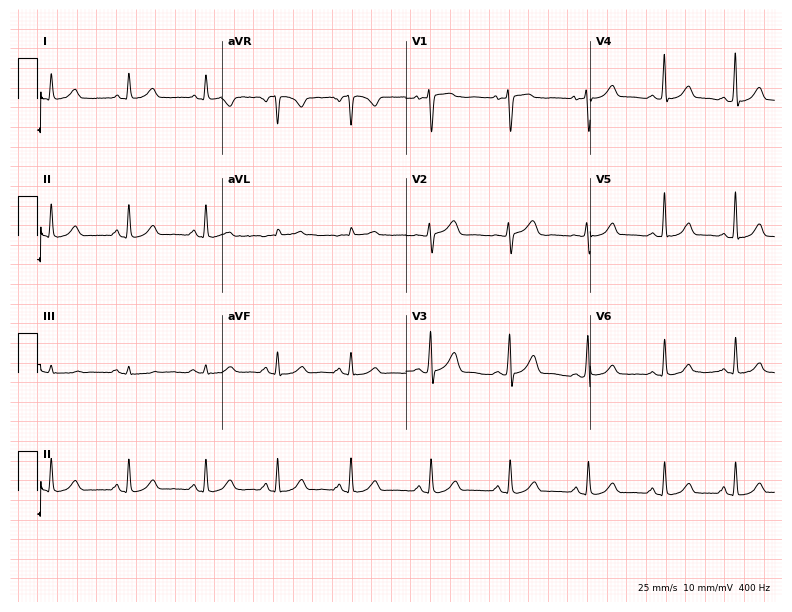
Standard 12-lead ECG recorded from a 27-year-old female (7.5-second recording at 400 Hz). Read as a normal ECG.